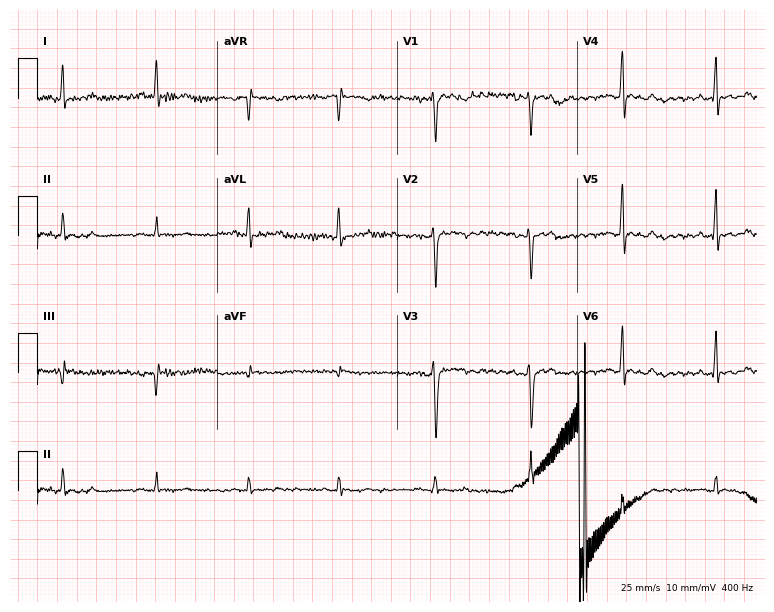
Resting 12-lead electrocardiogram. Patient: a female, 42 years old. None of these six findings is recorded: first-degree AV block, right bundle branch block, left bundle branch block, sinus bradycardia, atrial fibrillation, sinus tachycardia.